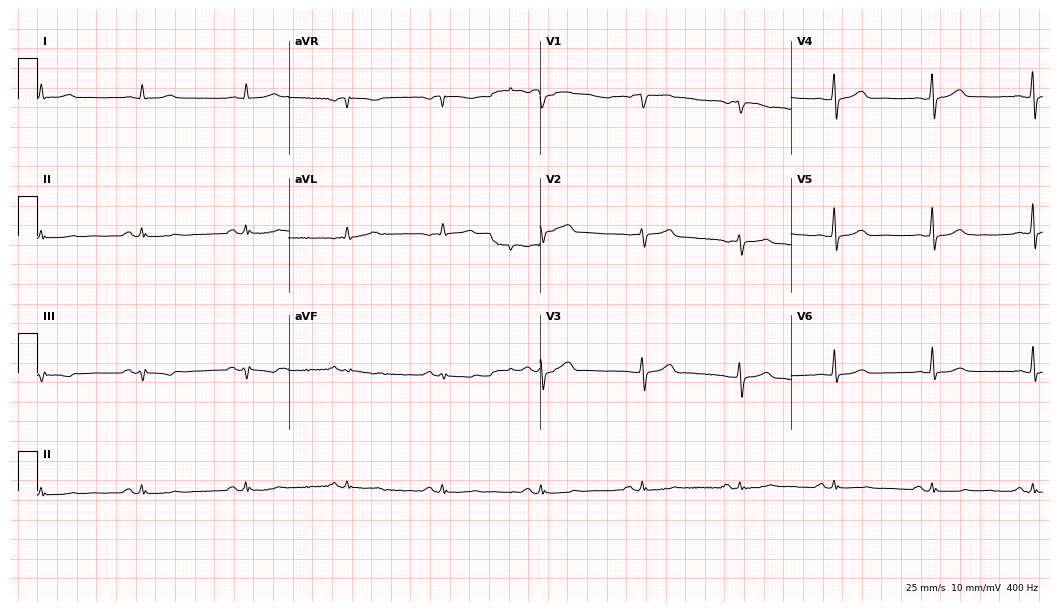
12-lead ECG from a 71-year-old man. Screened for six findings — first-degree AV block, right bundle branch block, left bundle branch block, sinus bradycardia, atrial fibrillation, sinus tachycardia — none is recorded.